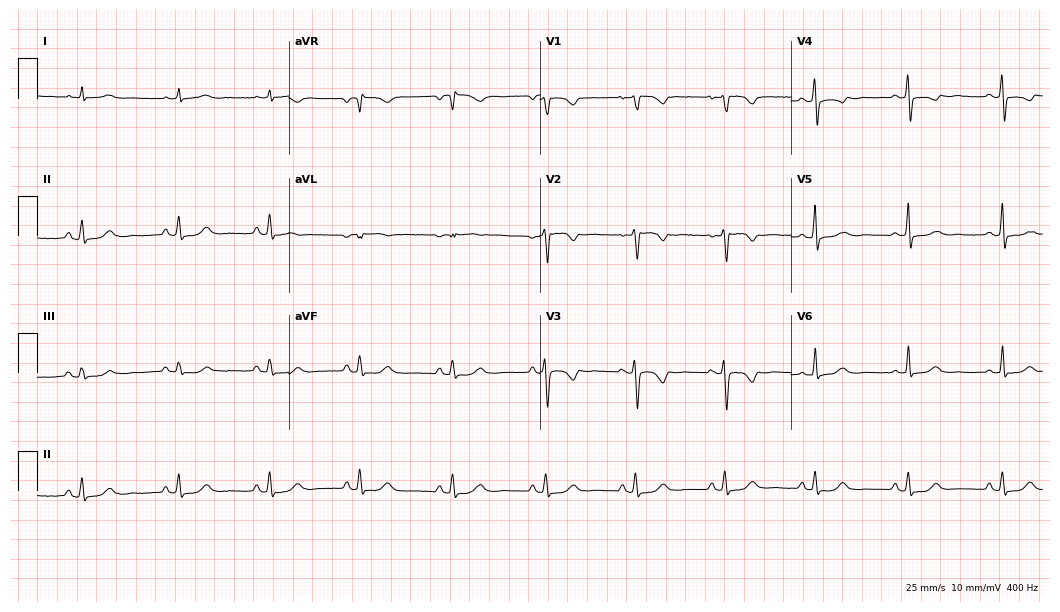
Electrocardiogram (10.2-second recording at 400 Hz), a female patient, 59 years old. Overall reading on record: normal ECG.